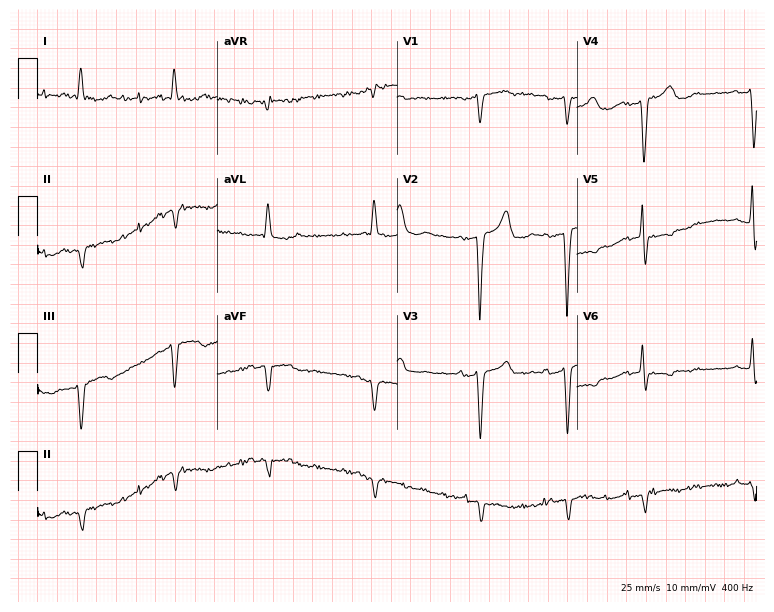
12-lead ECG from a 78-year-old man. No first-degree AV block, right bundle branch block (RBBB), left bundle branch block (LBBB), sinus bradycardia, atrial fibrillation (AF) or sinus tachycardia recorded for this tracing. Only these six findings were labelled.